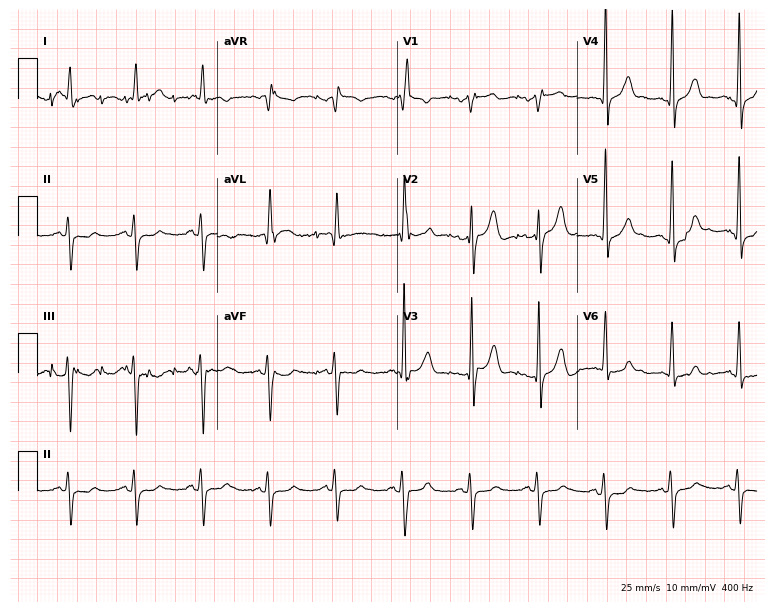
12-lead ECG from a 76-year-old male patient (7.3-second recording at 400 Hz). No first-degree AV block, right bundle branch block, left bundle branch block, sinus bradycardia, atrial fibrillation or sinus tachycardia recorded for this tracing.